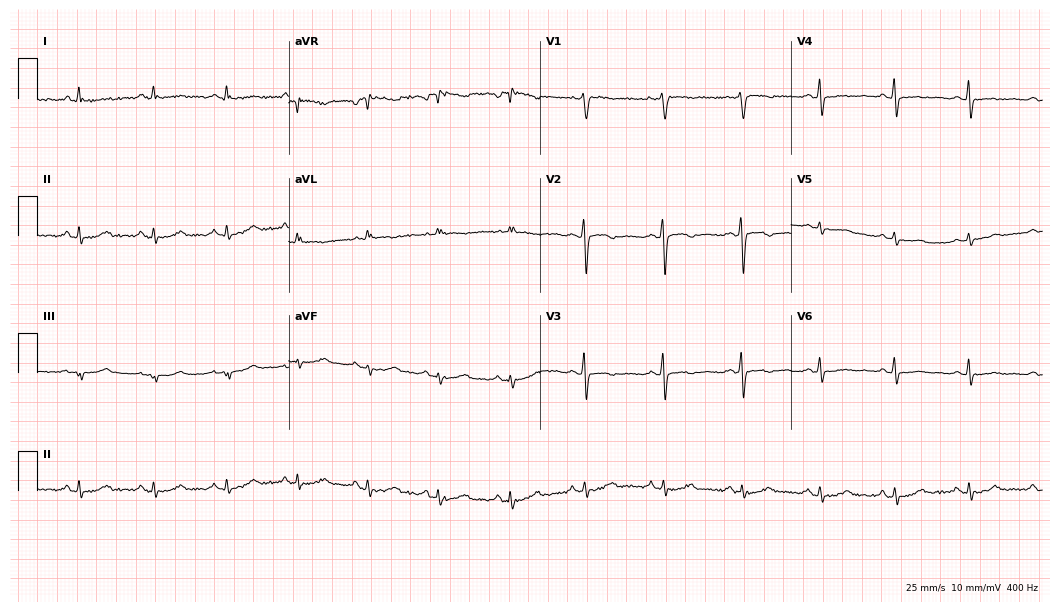
Standard 12-lead ECG recorded from a woman, 62 years old. None of these six findings is recorded: first-degree AV block, right bundle branch block, left bundle branch block, sinus bradycardia, atrial fibrillation, sinus tachycardia.